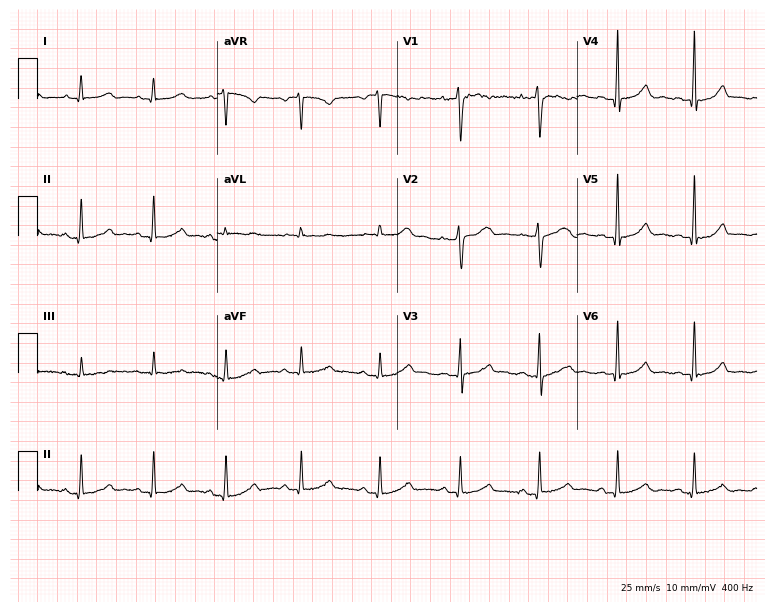
ECG — a female, 53 years old. Labelled as a normal ECG.